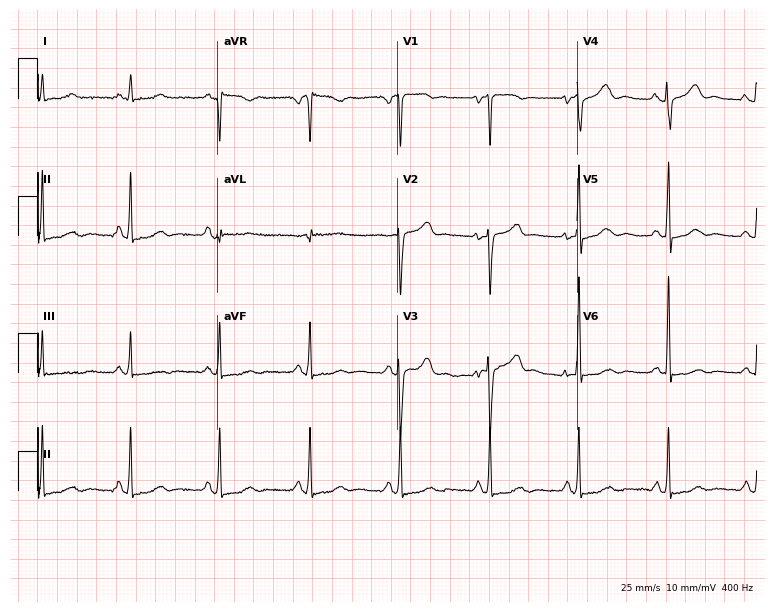
Standard 12-lead ECG recorded from a 73-year-old female patient. None of these six findings is recorded: first-degree AV block, right bundle branch block, left bundle branch block, sinus bradycardia, atrial fibrillation, sinus tachycardia. Other findings, if any, are not listed.